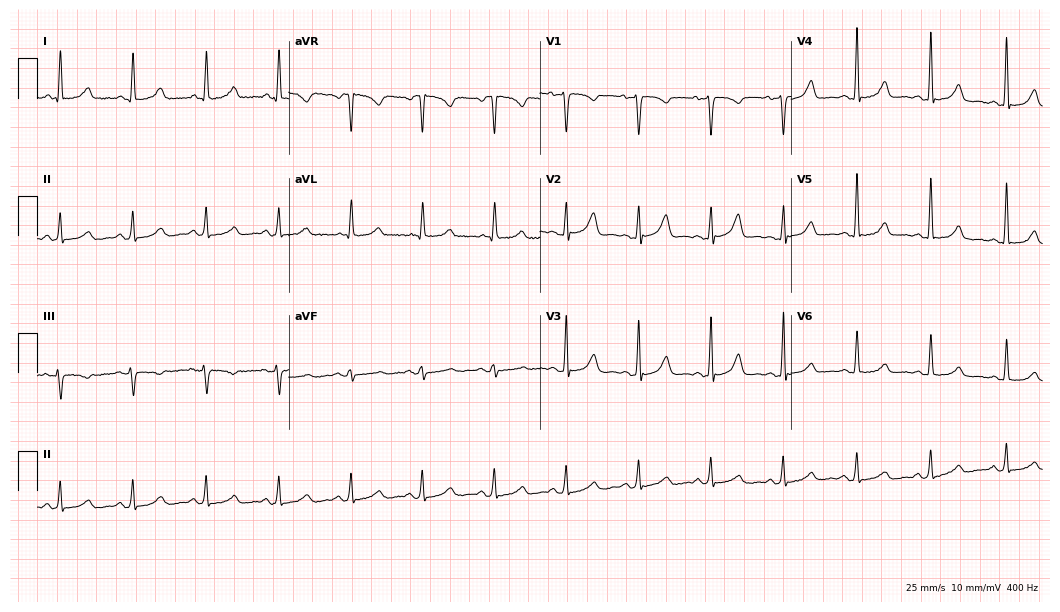
ECG — a 40-year-old female patient. Labelled as a normal ECG.